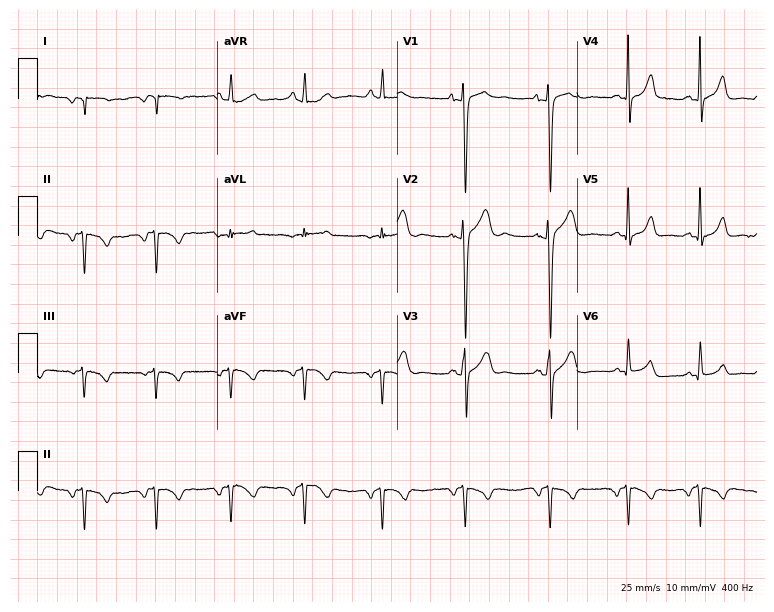
ECG (7.3-second recording at 400 Hz) — a 24-year-old female patient. Screened for six findings — first-degree AV block, right bundle branch block (RBBB), left bundle branch block (LBBB), sinus bradycardia, atrial fibrillation (AF), sinus tachycardia — none is recorded. Only these six findings were labelled.